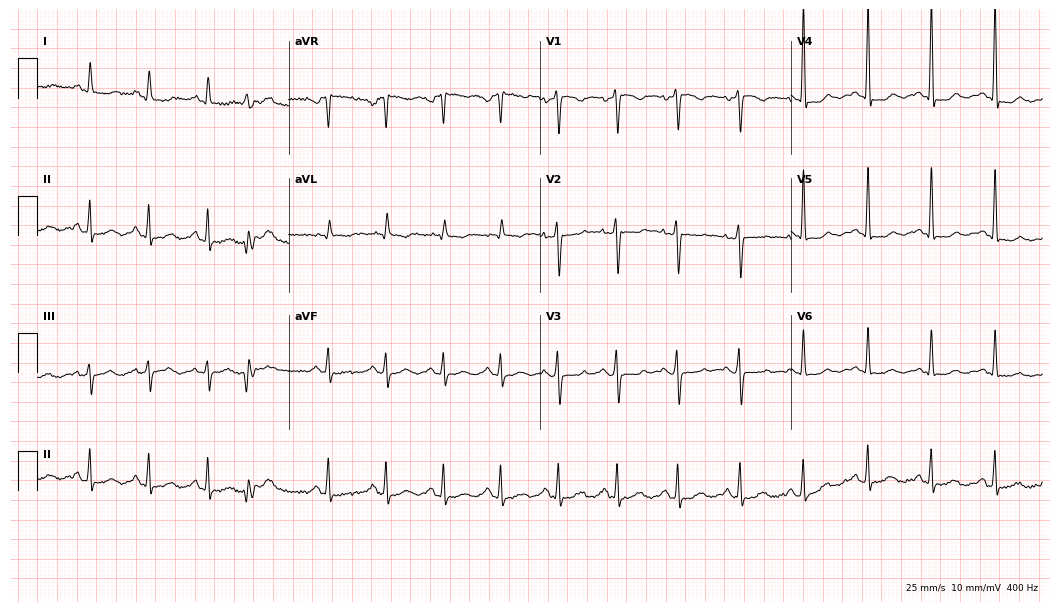
ECG — a female patient, 57 years old. Screened for six findings — first-degree AV block, right bundle branch block (RBBB), left bundle branch block (LBBB), sinus bradycardia, atrial fibrillation (AF), sinus tachycardia — none is recorded.